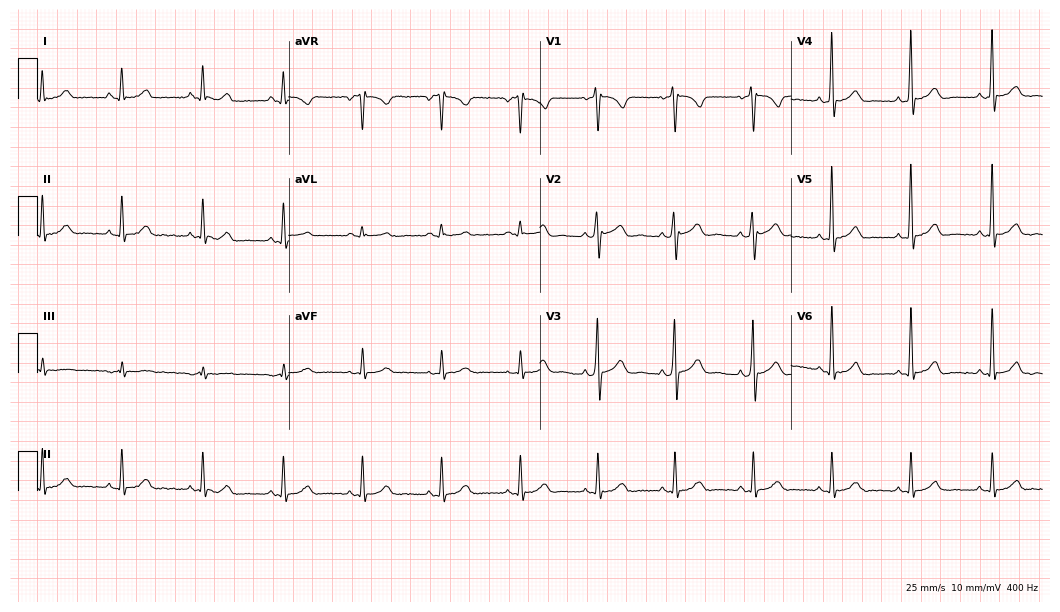
12-lead ECG (10.2-second recording at 400 Hz) from a male, 50 years old. Labelled as a normal ECG.